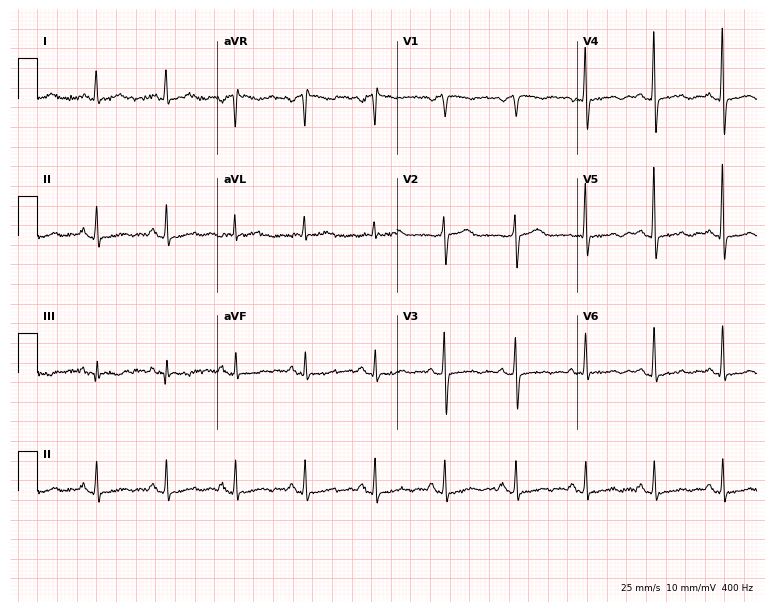
Standard 12-lead ECG recorded from a female patient, 76 years old (7.3-second recording at 400 Hz). Read as a normal ECG.